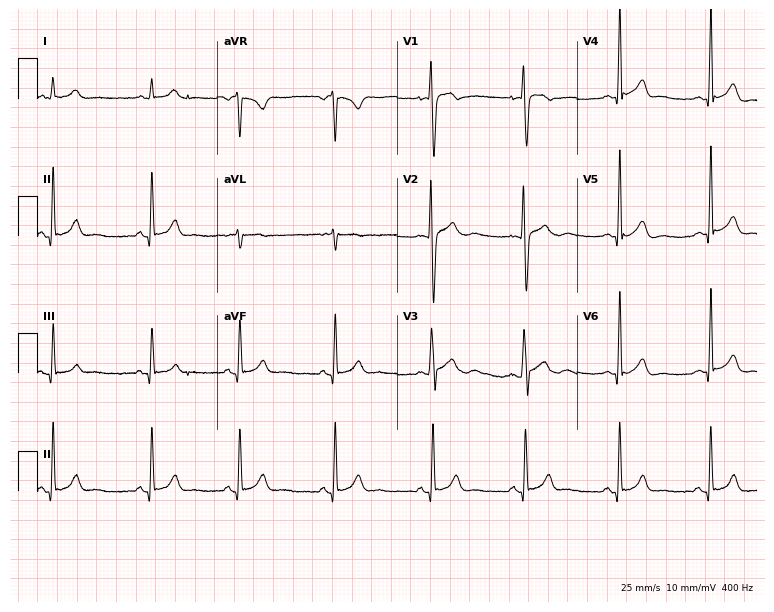
Resting 12-lead electrocardiogram. Patient: a male, 18 years old. Read as a normal ECG.